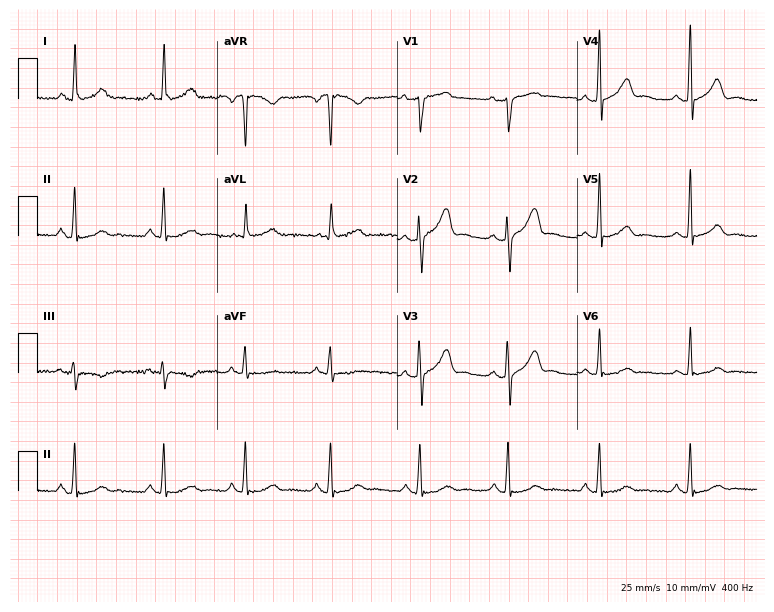
Resting 12-lead electrocardiogram. Patient: a 39-year-old woman. None of these six findings is recorded: first-degree AV block, right bundle branch block (RBBB), left bundle branch block (LBBB), sinus bradycardia, atrial fibrillation (AF), sinus tachycardia. Findings outside these six are not listed.